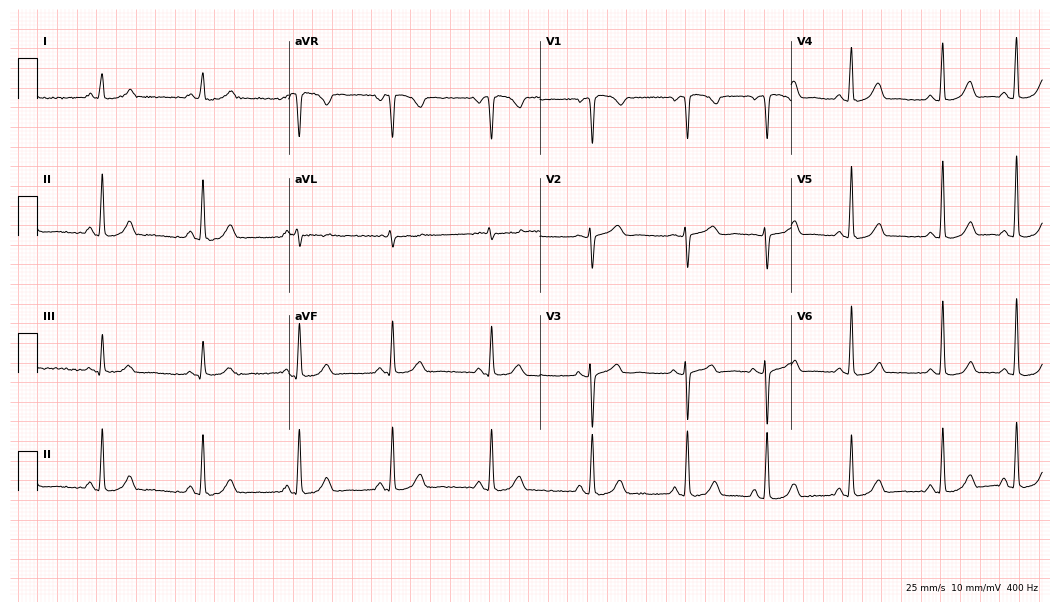
Electrocardiogram, a female, 49 years old. Overall reading on record: normal ECG.